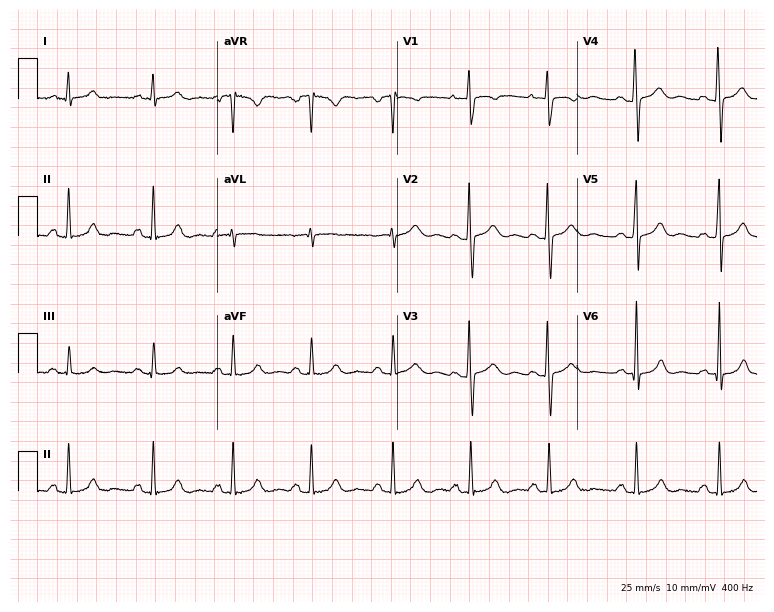
Electrocardiogram, a 44-year-old woman. Of the six screened findings (first-degree AV block, right bundle branch block (RBBB), left bundle branch block (LBBB), sinus bradycardia, atrial fibrillation (AF), sinus tachycardia), none is recorded.